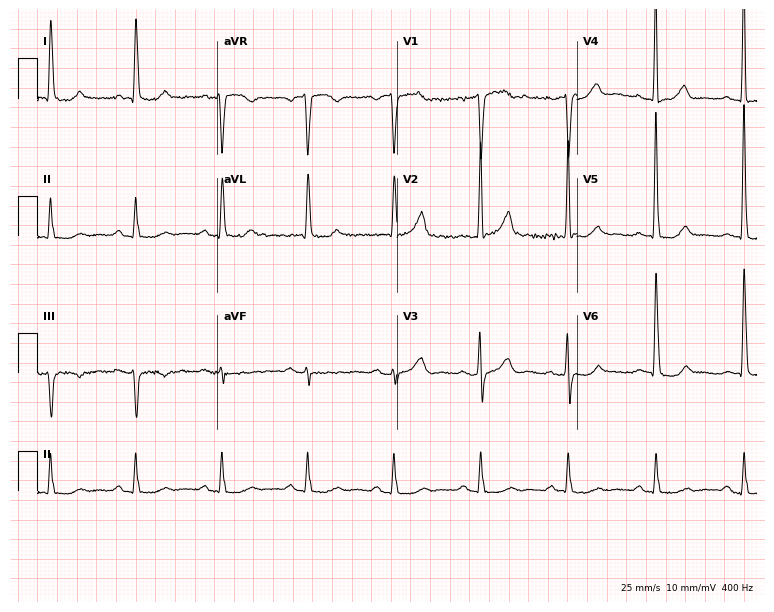
Standard 12-lead ECG recorded from a man, 66 years old. None of these six findings is recorded: first-degree AV block, right bundle branch block, left bundle branch block, sinus bradycardia, atrial fibrillation, sinus tachycardia. Only these six findings were labelled.